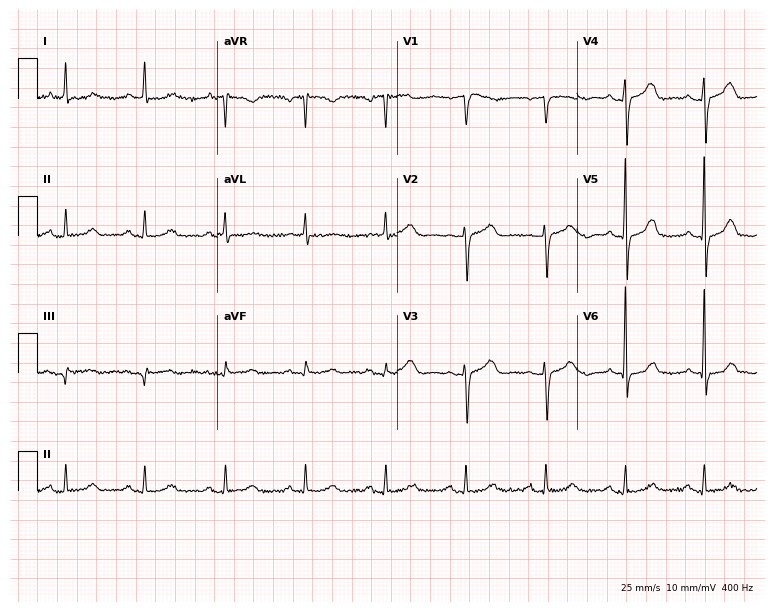
Resting 12-lead electrocardiogram. Patient: an 85-year-old female. Read as a normal ECG.